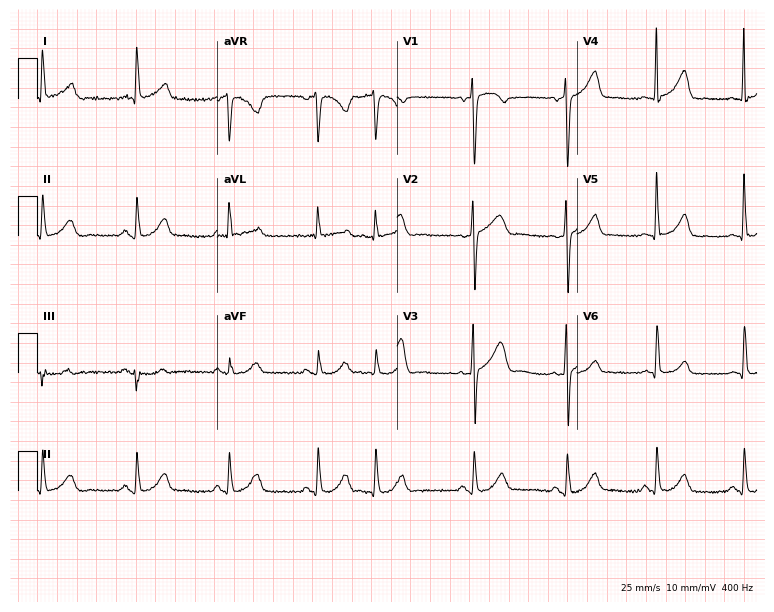
ECG — a 75-year-old female patient. Screened for six findings — first-degree AV block, right bundle branch block, left bundle branch block, sinus bradycardia, atrial fibrillation, sinus tachycardia — none is recorded. Only these six findings were labelled.